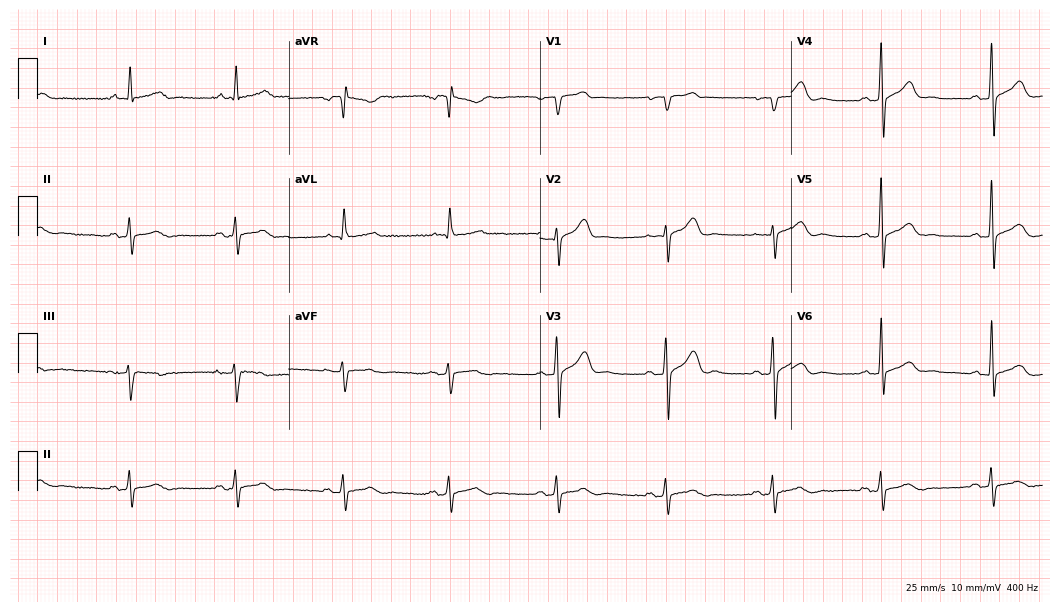
ECG (10.2-second recording at 400 Hz) — a 62-year-old man. Screened for six findings — first-degree AV block, right bundle branch block, left bundle branch block, sinus bradycardia, atrial fibrillation, sinus tachycardia — none is recorded.